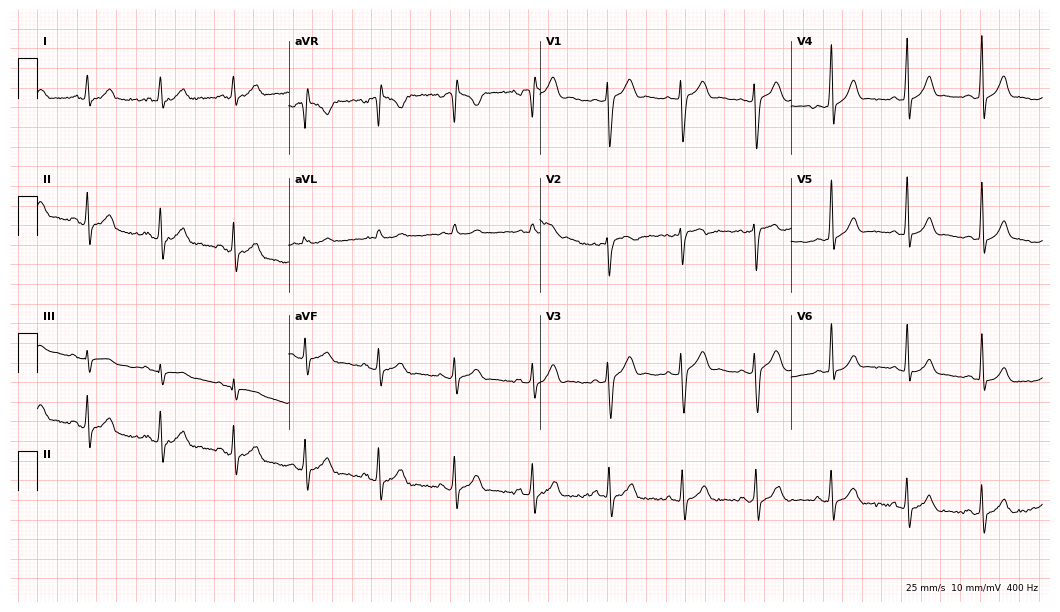
12-lead ECG from a man, 19 years old (10.2-second recording at 400 Hz). Recorded interpretation: within normal limits.